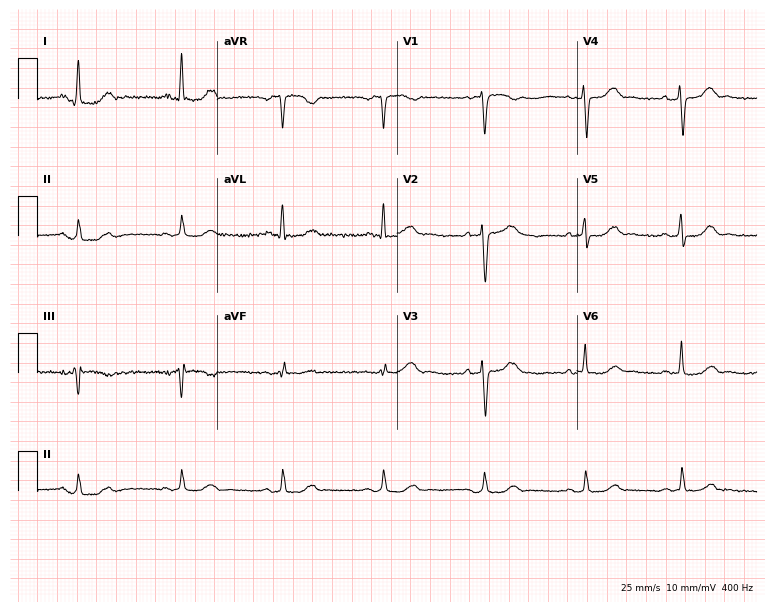
12-lead ECG from a 53-year-old woman (7.3-second recording at 400 Hz). No first-degree AV block, right bundle branch block (RBBB), left bundle branch block (LBBB), sinus bradycardia, atrial fibrillation (AF) or sinus tachycardia recorded for this tracing.